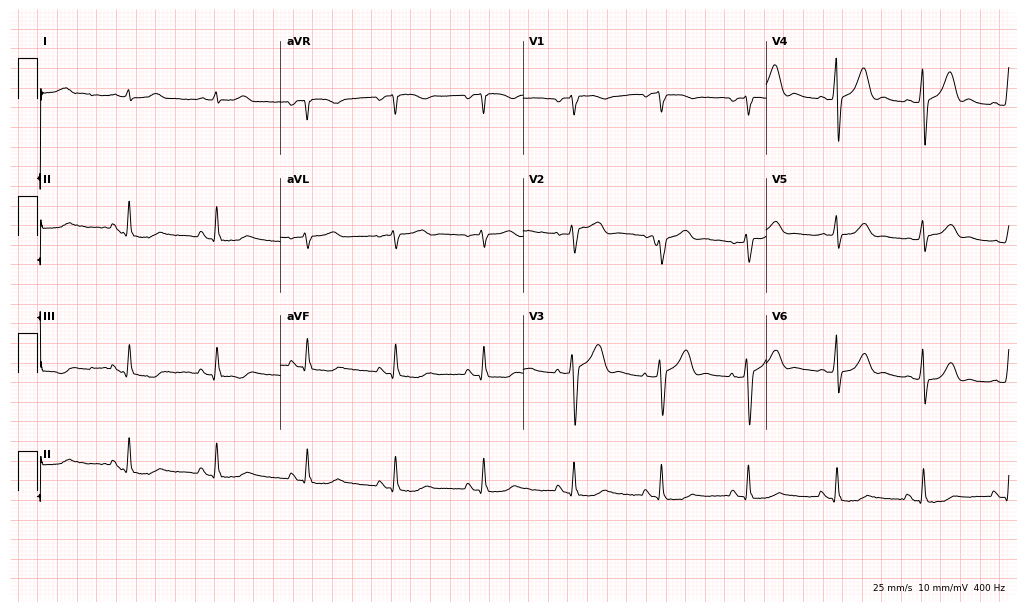
Electrocardiogram, a 72-year-old male patient. Overall reading on record: normal ECG.